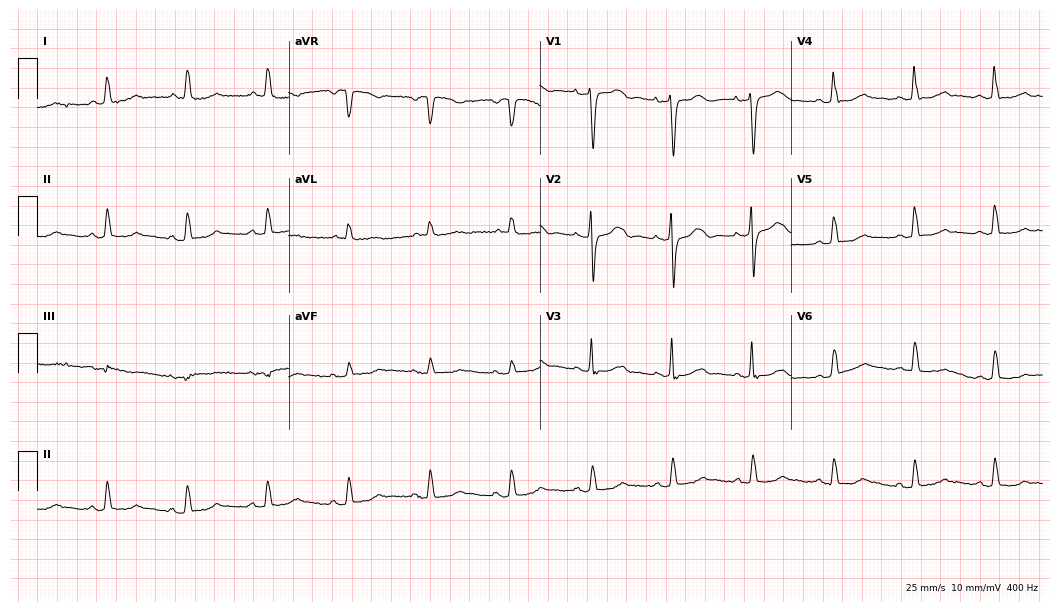
Electrocardiogram, a female, 75 years old. Overall reading on record: normal ECG.